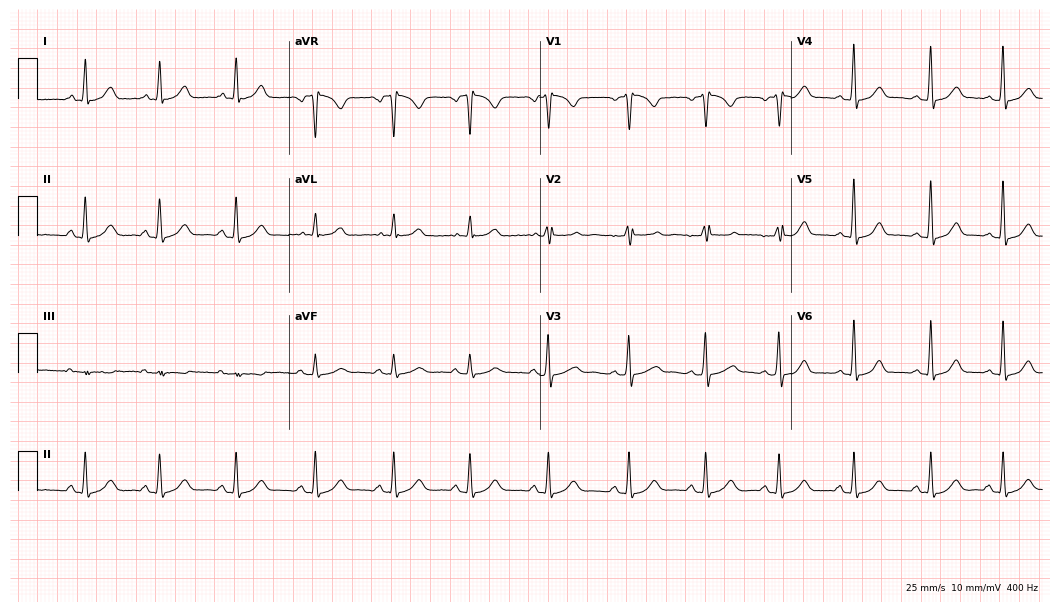
12-lead ECG from a female patient, 26 years old. Screened for six findings — first-degree AV block, right bundle branch block, left bundle branch block, sinus bradycardia, atrial fibrillation, sinus tachycardia — none is recorded. Only these six findings were labelled.